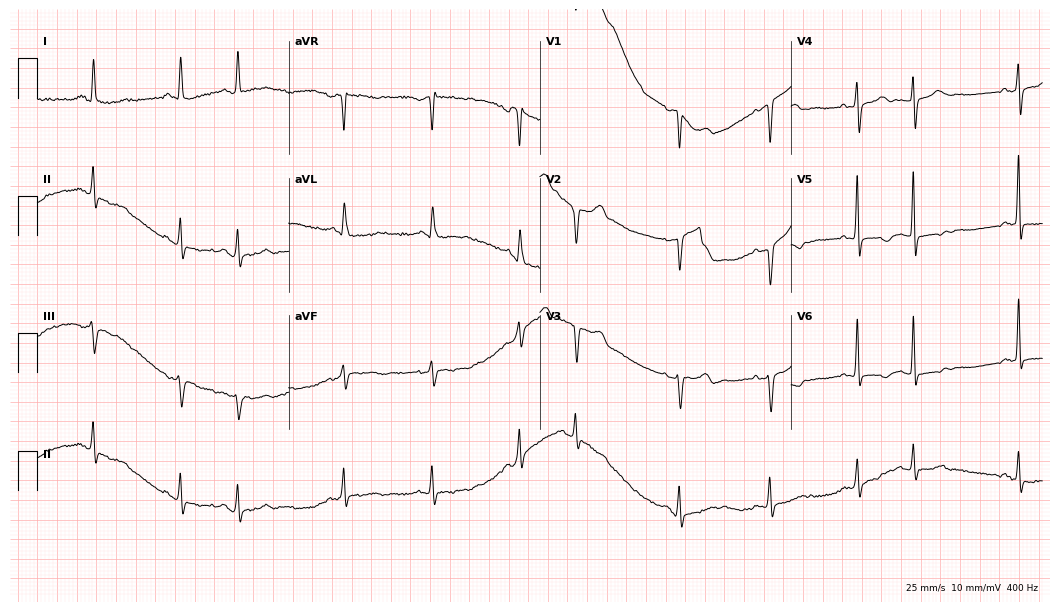
Electrocardiogram, a woman, 63 years old. Of the six screened findings (first-degree AV block, right bundle branch block (RBBB), left bundle branch block (LBBB), sinus bradycardia, atrial fibrillation (AF), sinus tachycardia), none is recorded.